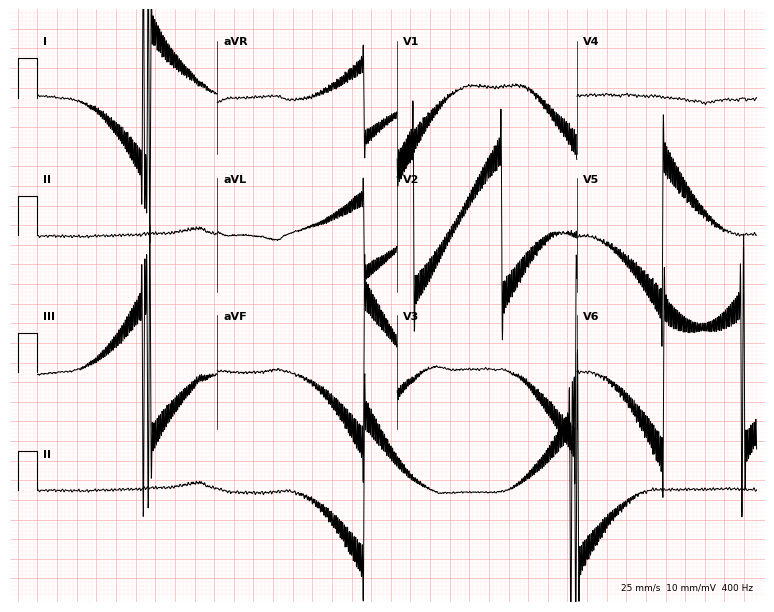
ECG (7.3-second recording at 400 Hz) — a 20-year-old female patient. Screened for six findings — first-degree AV block, right bundle branch block, left bundle branch block, sinus bradycardia, atrial fibrillation, sinus tachycardia — none is recorded. Other findings, if any, are not listed.